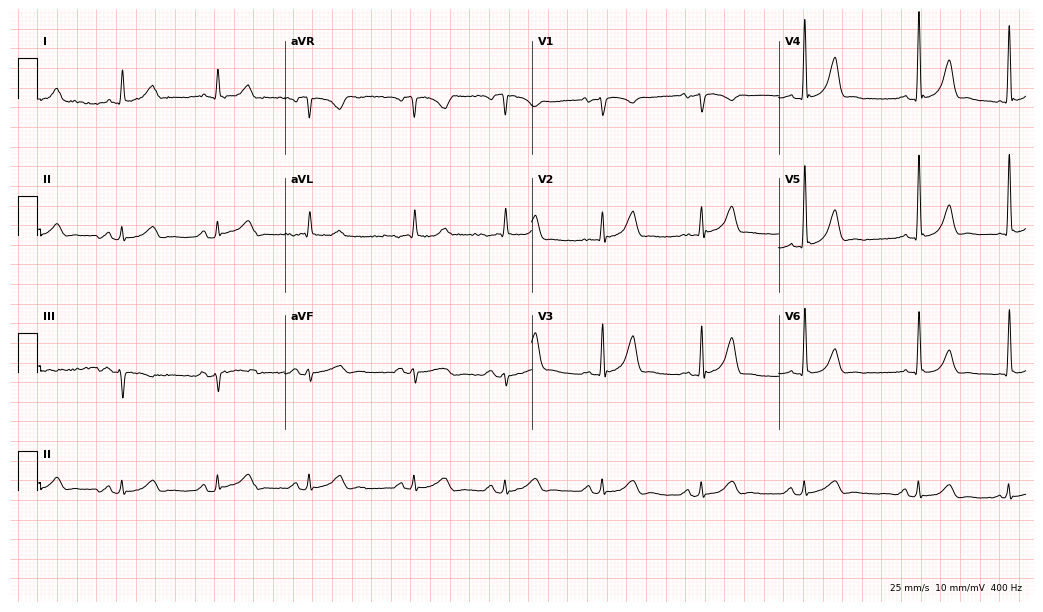
12-lead ECG from a 26-year-old man. No first-degree AV block, right bundle branch block, left bundle branch block, sinus bradycardia, atrial fibrillation or sinus tachycardia recorded for this tracing.